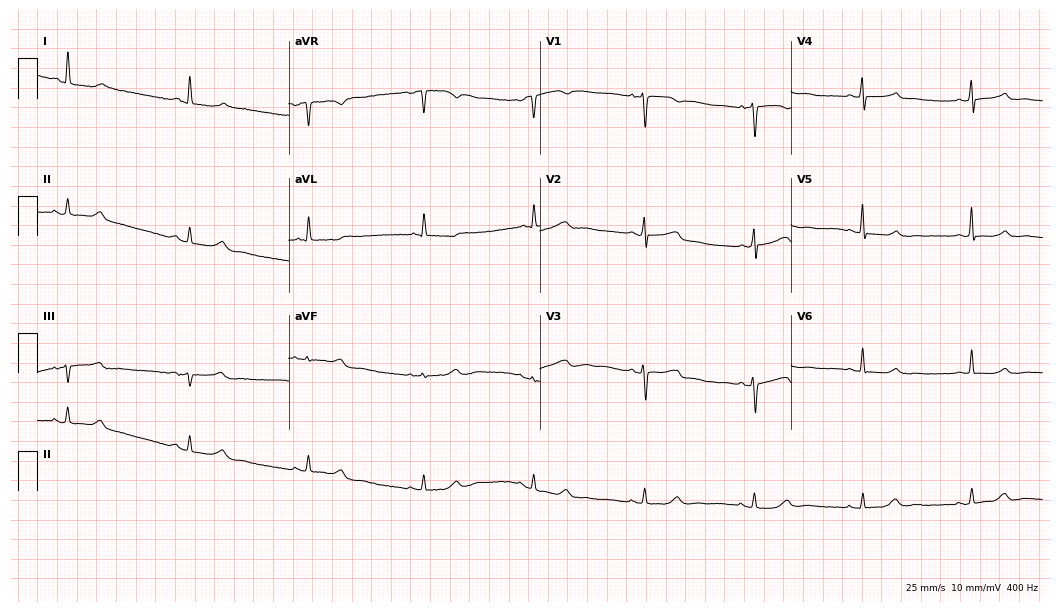
Electrocardiogram, a female patient, 80 years old. Overall reading on record: normal ECG.